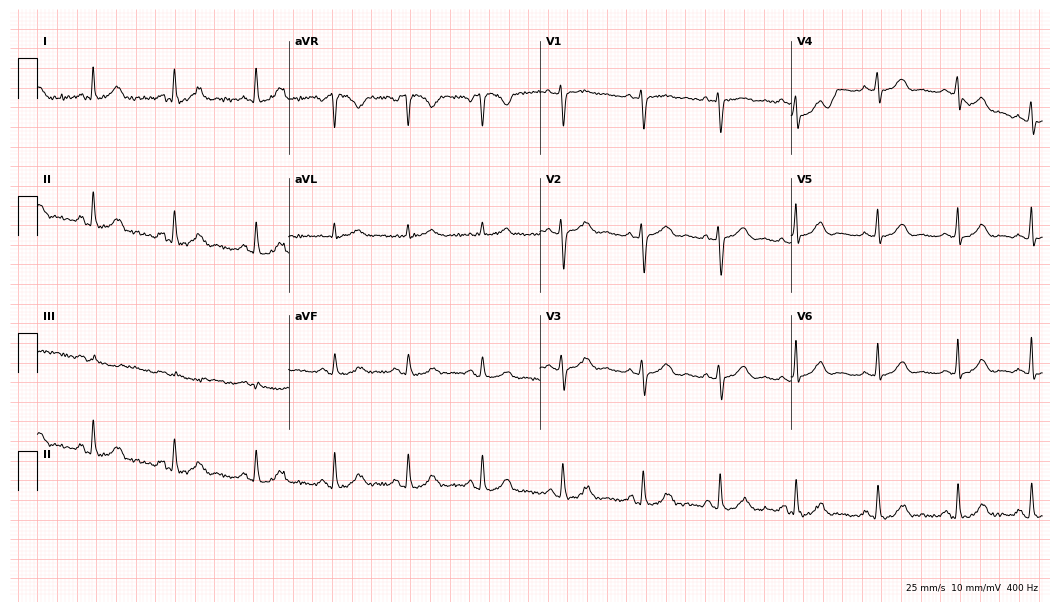
ECG — a female patient, 40 years old. Labelled as a normal ECG.